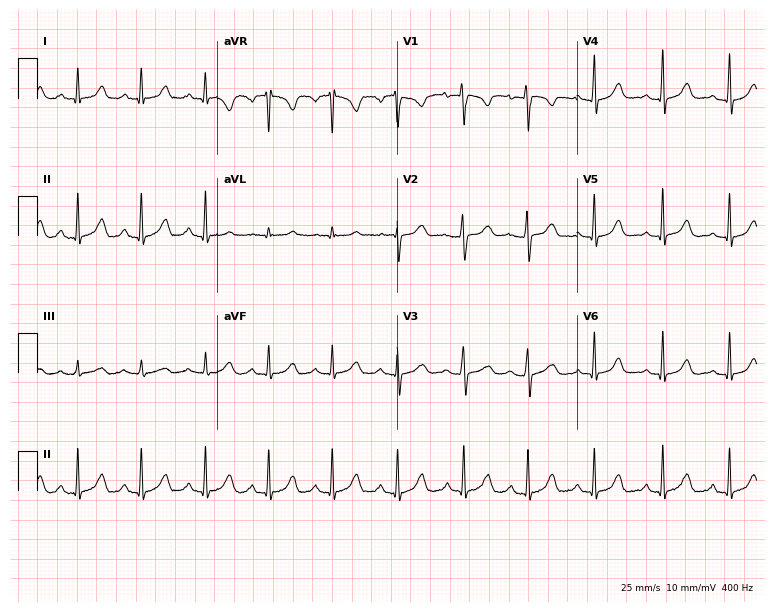
ECG — a 56-year-old female. Labelled as a normal ECG.